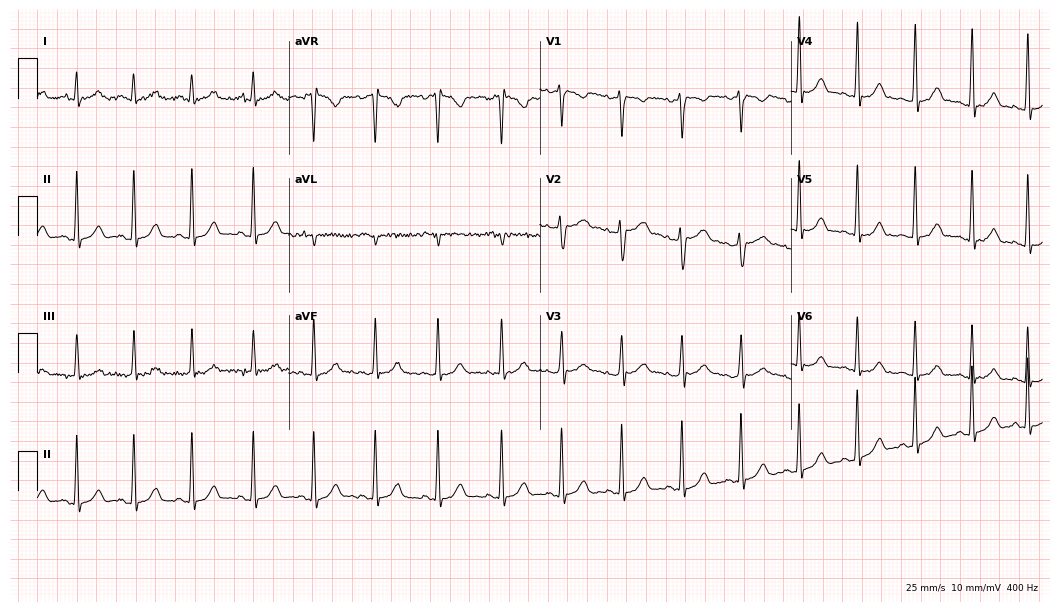
Electrocardiogram, a female, 31 years old. Of the six screened findings (first-degree AV block, right bundle branch block, left bundle branch block, sinus bradycardia, atrial fibrillation, sinus tachycardia), none is recorded.